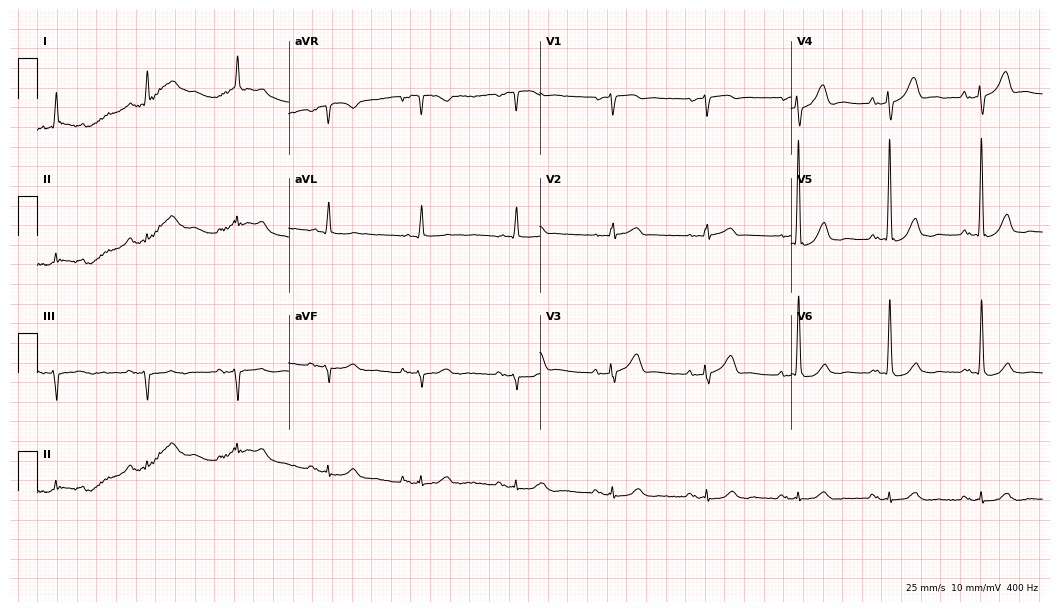
Electrocardiogram, a male, 83 years old. Overall reading on record: normal ECG.